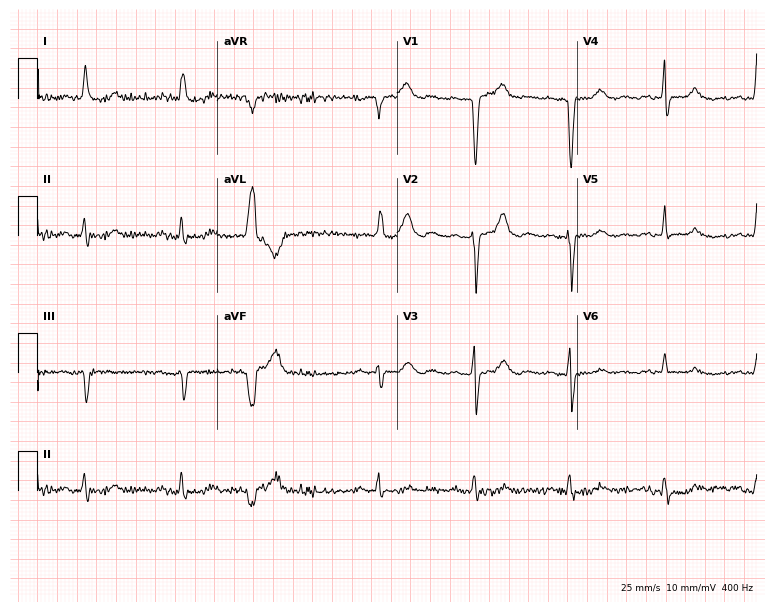
ECG (7.3-second recording at 400 Hz) — a female, 76 years old. Screened for six findings — first-degree AV block, right bundle branch block, left bundle branch block, sinus bradycardia, atrial fibrillation, sinus tachycardia — none is recorded. Findings outside these six are not listed.